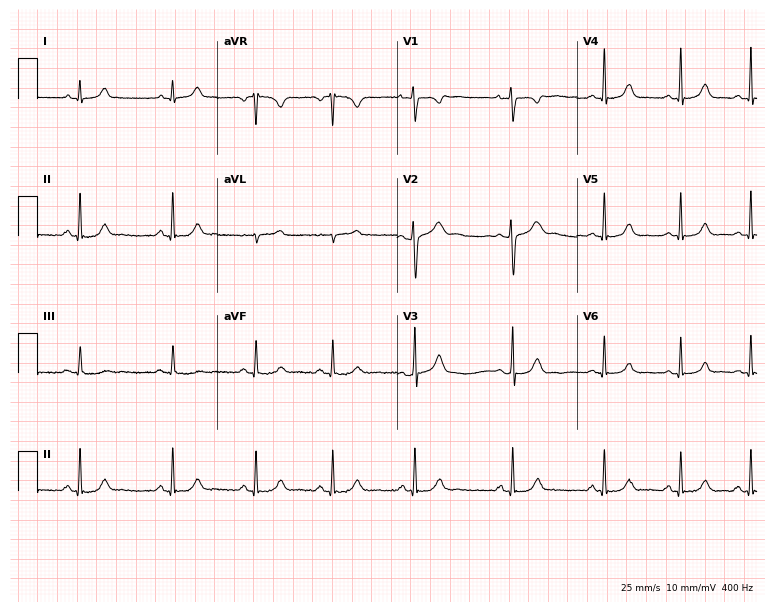
12-lead ECG from an 18-year-old female. Recorded interpretation: within normal limits.